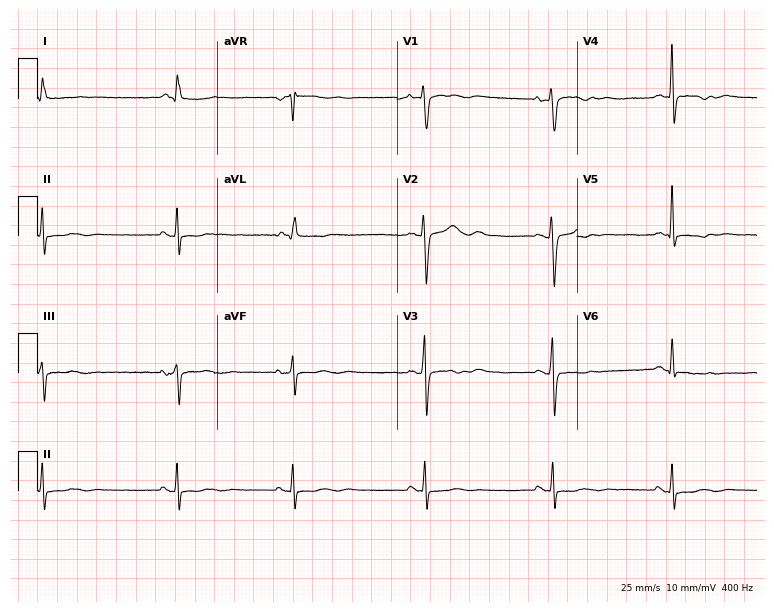
ECG — a 62-year-old woman. Screened for six findings — first-degree AV block, right bundle branch block, left bundle branch block, sinus bradycardia, atrial fibrillation, sinus tachycardia — none is recorded. Findings outside these six are not listed.